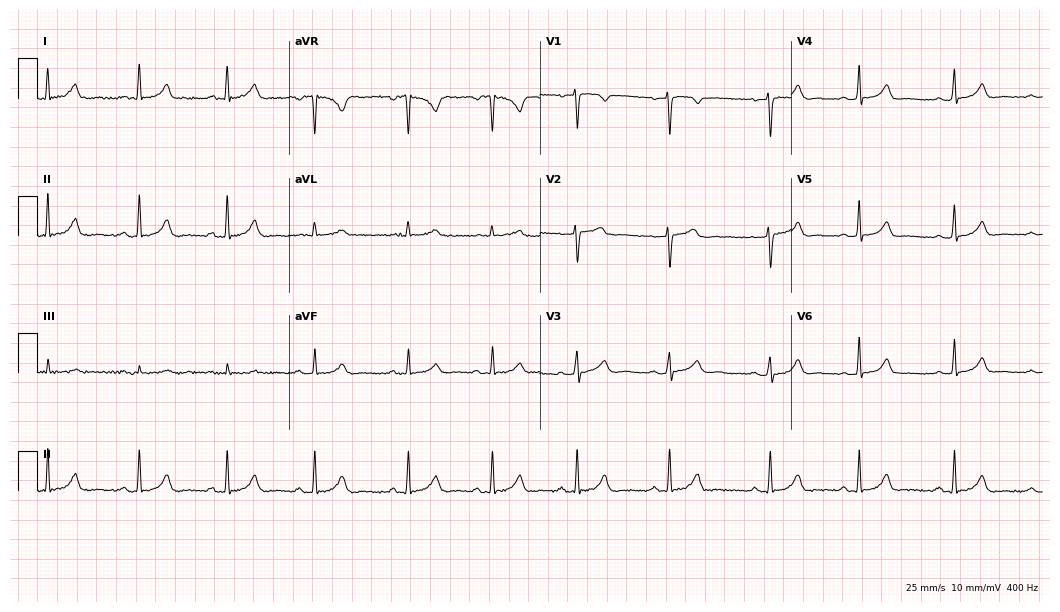
ECG — a female, 39 years old. Labelled as a normal ECG.